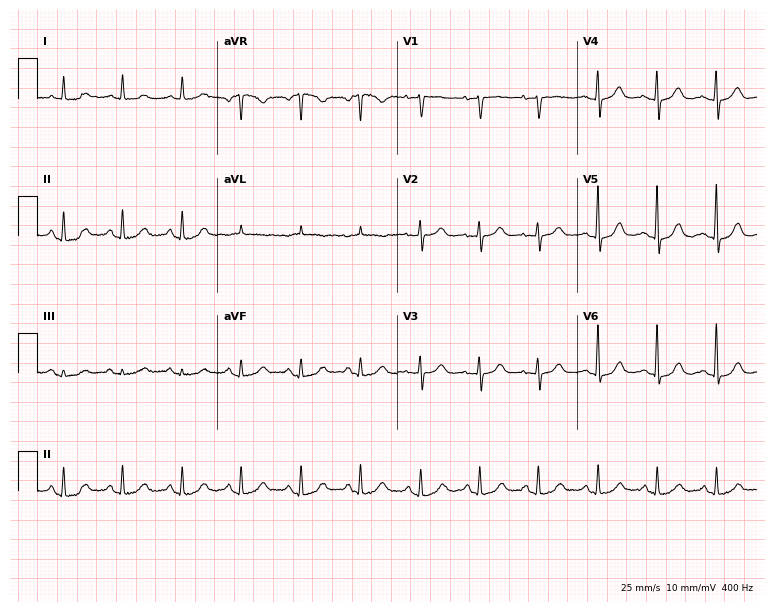
Standard 12-lead ECG recorded from a 71-year-old female patient. Read as a normal ECG.